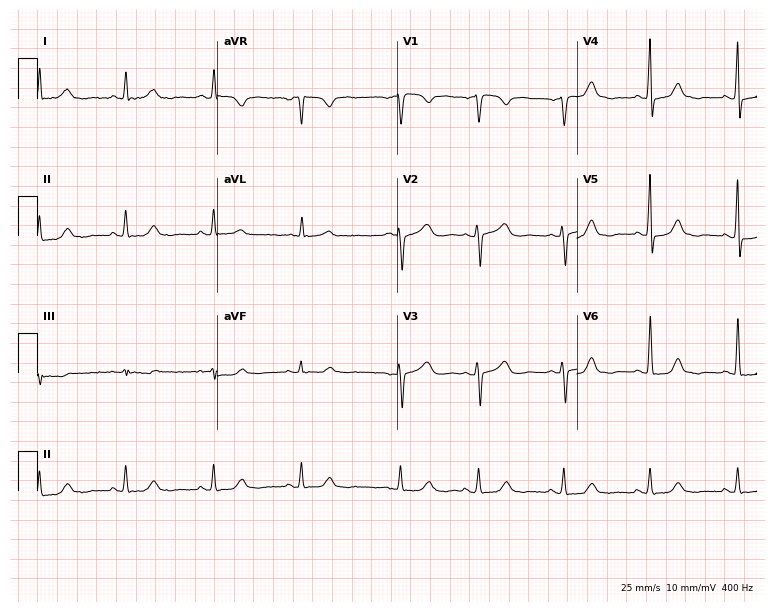
12-lead ECG from a female patient, 82 years old. Screened for six findings — first-degree AV block, right bundle branch block, left bundle branch block, sinus bradycardia, atrial fibrillation, sinus tachycardia — none is recorded. Only these six findings were labelled.